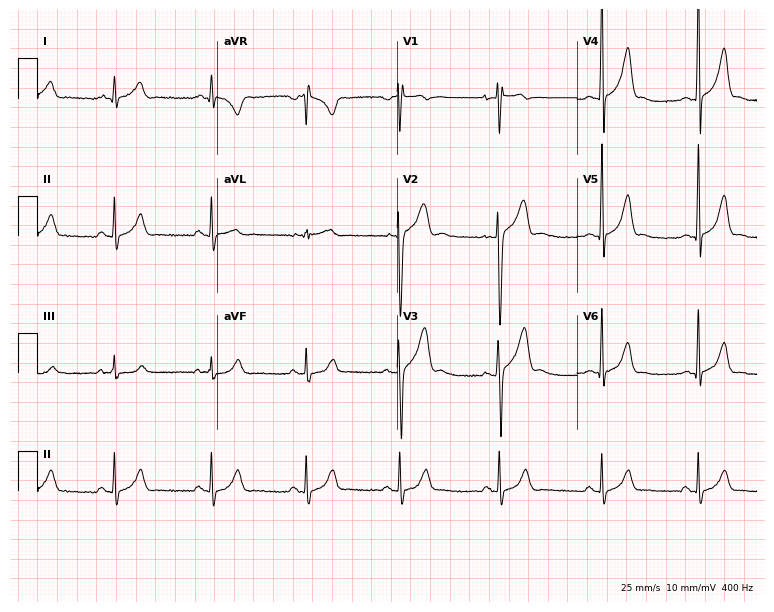
Resting 12-lead electrocardiogram. Patient: a 17-year-old male. Read as a normal ECG.